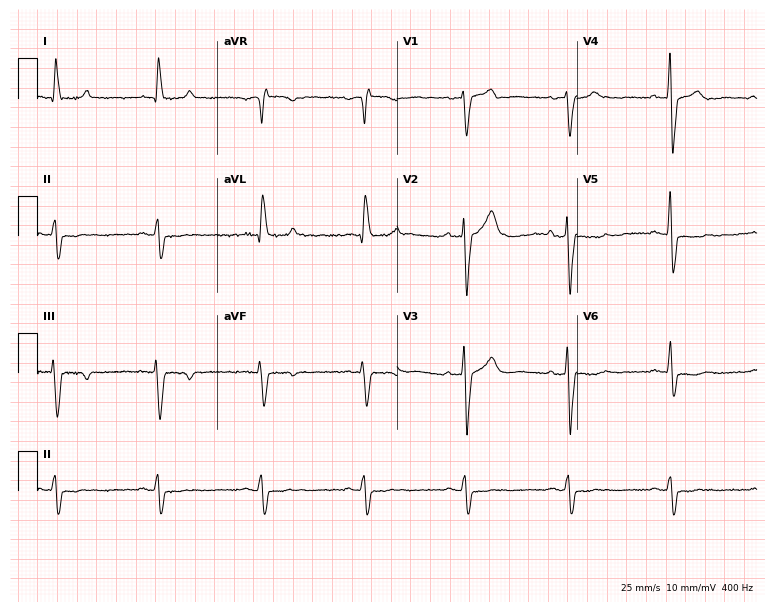
12-lead ECG (7.3-second recording at 400 Hz) from a male, 66 years old. Findings include left bundle branch block (LBBB).